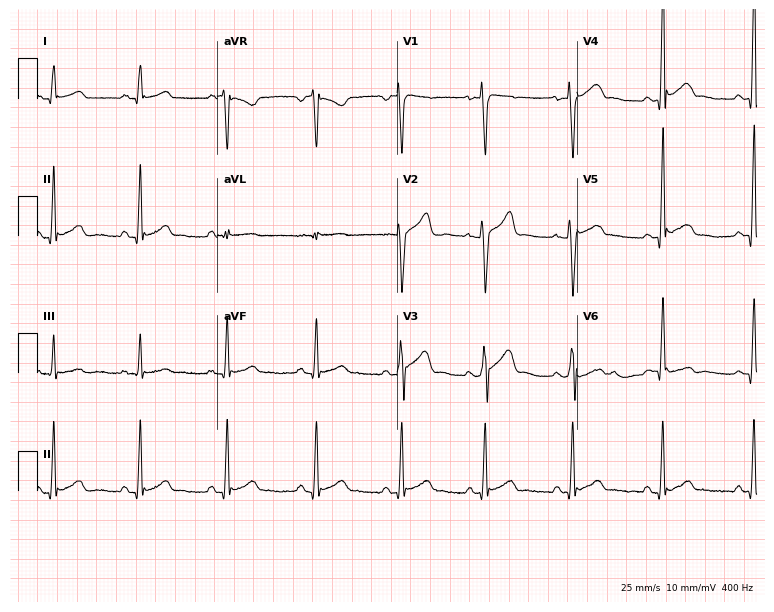
Electrocardiogram (7.3-second recording at 400 Hz), a 30-year-old man. Overall reading on record: normal ECG.